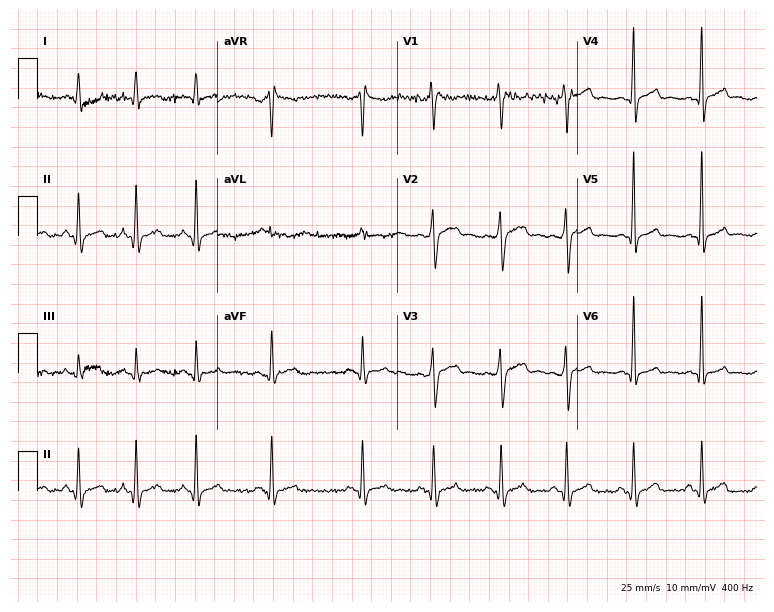
Standard 12-lead ECG recorded from a male, 32 years old. Read as a normal ECG.